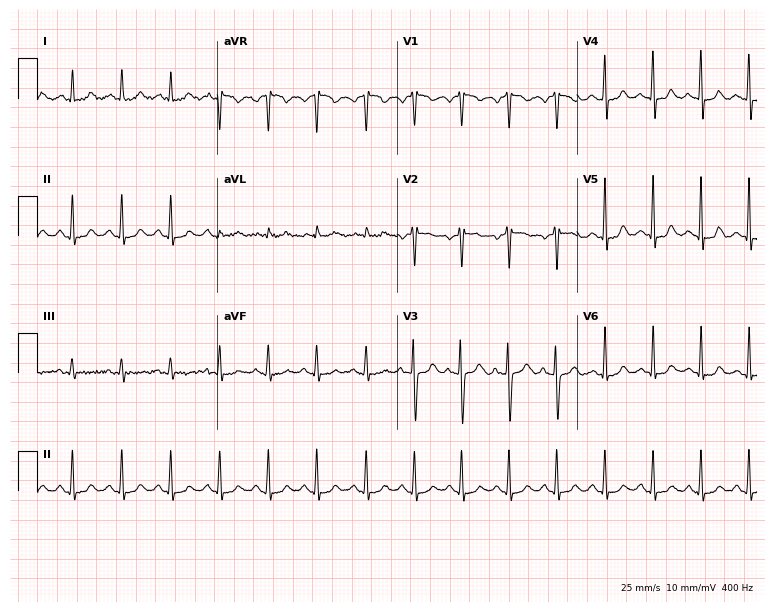
12-lead ECG from a male, 38 years old. Findings include sinus tachycardia (a sinus rate of 100 beats per minute or more).